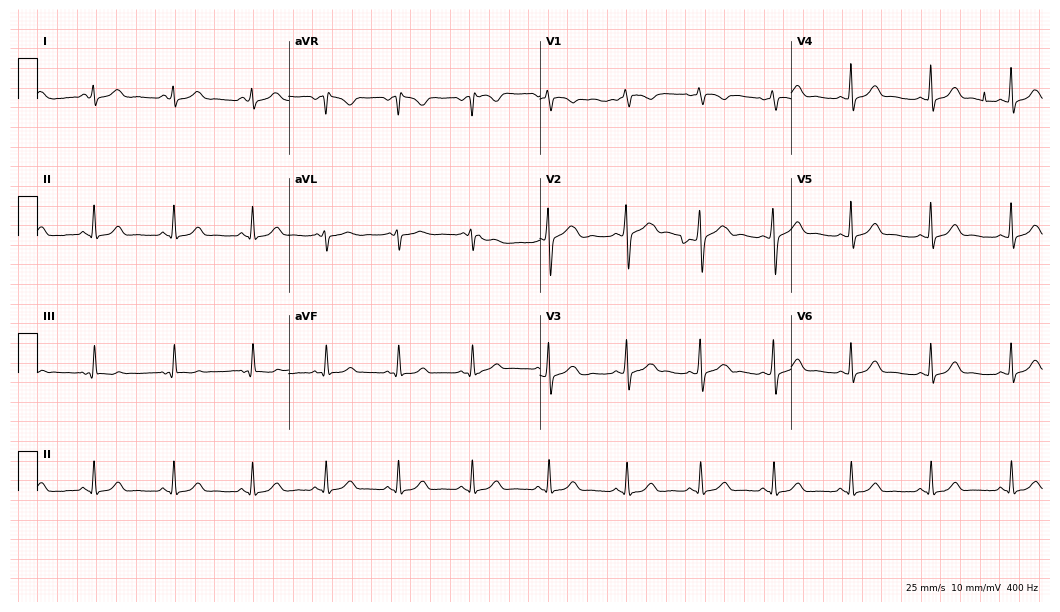
Resting 12-lead electrocardiogram. Patient: a 22-year-old woman. Read as a normal ECG.